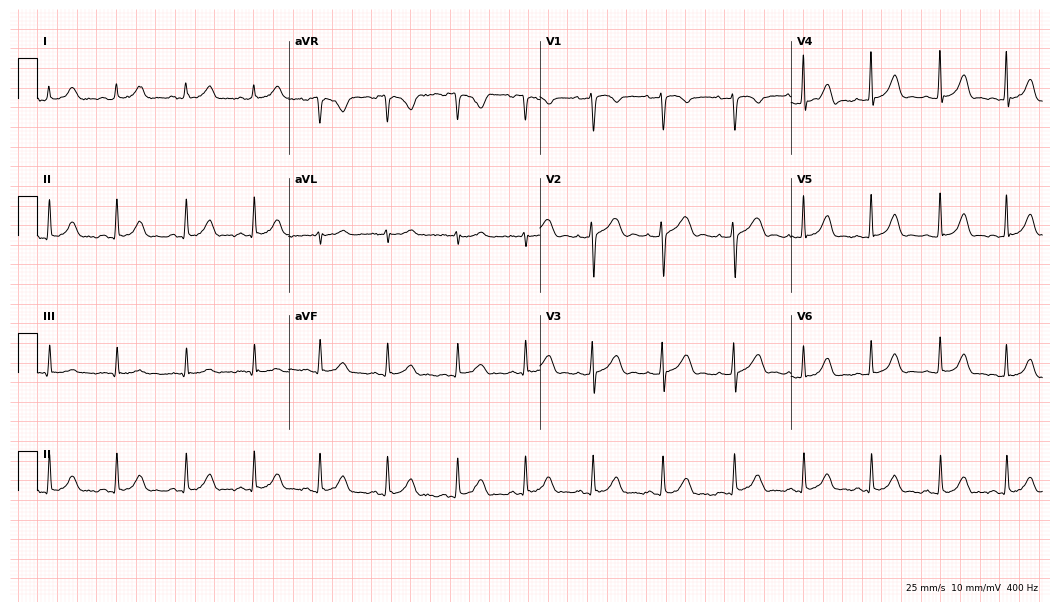
ECG (10.2-second recording at 400 Hz) — a woman, 29 years old. Labelled as a normal ECG.